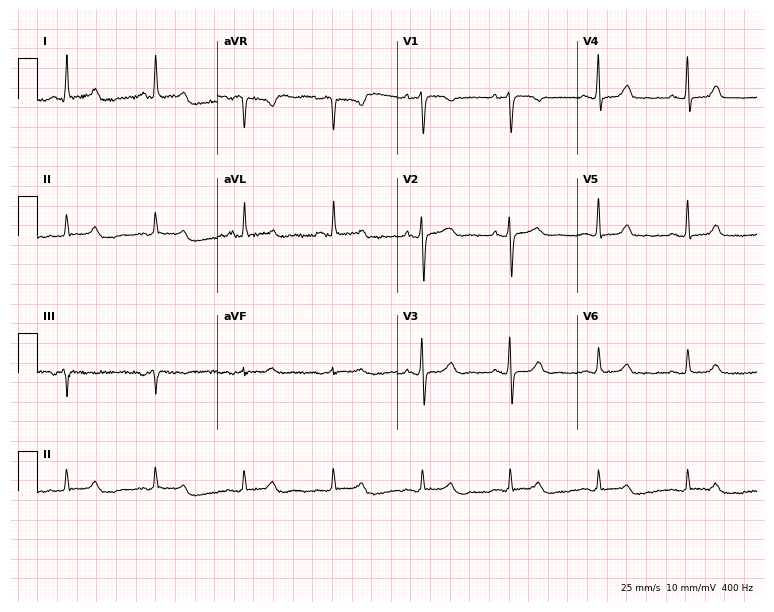
Resting 12-lead electrocardiogram. Patient: a 62-year-old female. None of these six findings is recorded: first-degree AV block, right bundle branch block, left bundle branch block, sinus bradycardia, atrial fibrillation, sinus tachycardia.